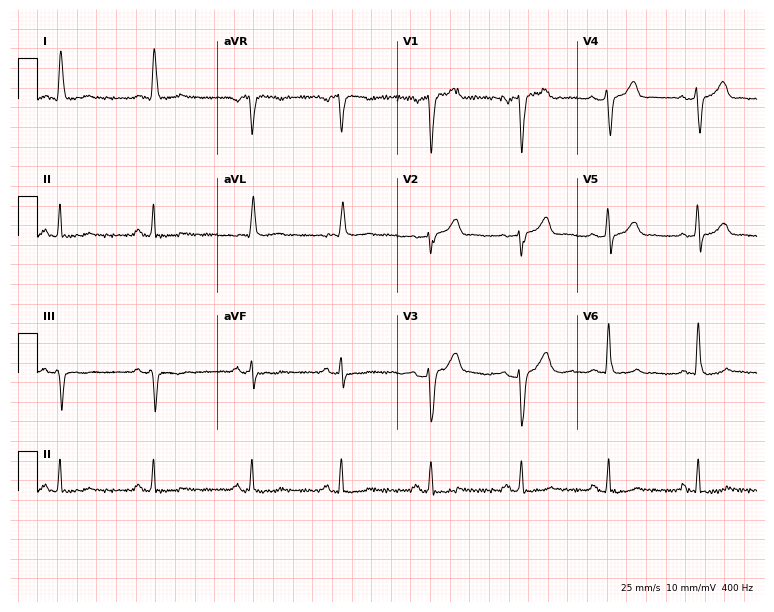
Standard 12-lead ECG recorded from a male patient, 50 years old (7.3-second recording at 400 Hz). None of these six findings is recorded: first-degree AV block, right bundle branch block (RBBB), left bundle branch block (LBBB), sinus bradycardia, atrial fibrillation (AF), sinus tachycardia.